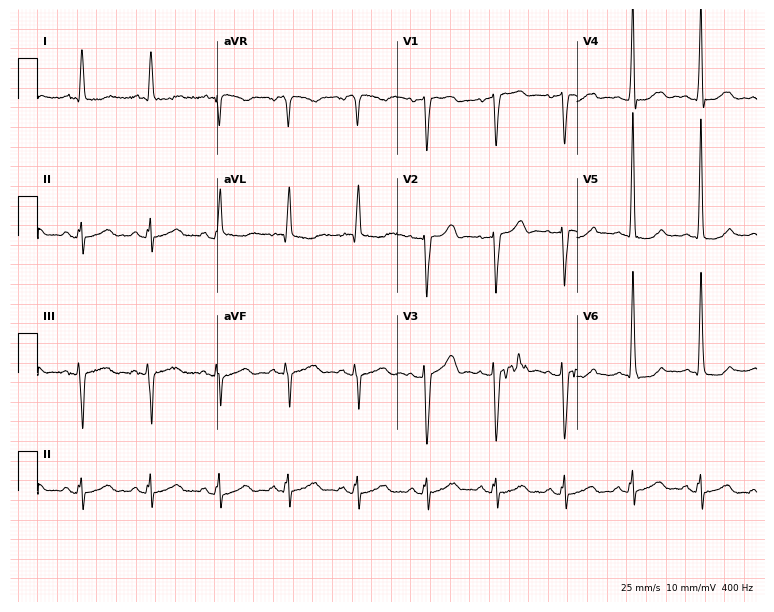
Electrocardiogram (7.3-second recording at 400 Hz), a 59-year-old woman. Of the six screened findings (first-degree AV block, right bundle branch block, left bundle branch block, sinus bradycardia, atrial fibrillation, sinus tachycardia), none is recorded.